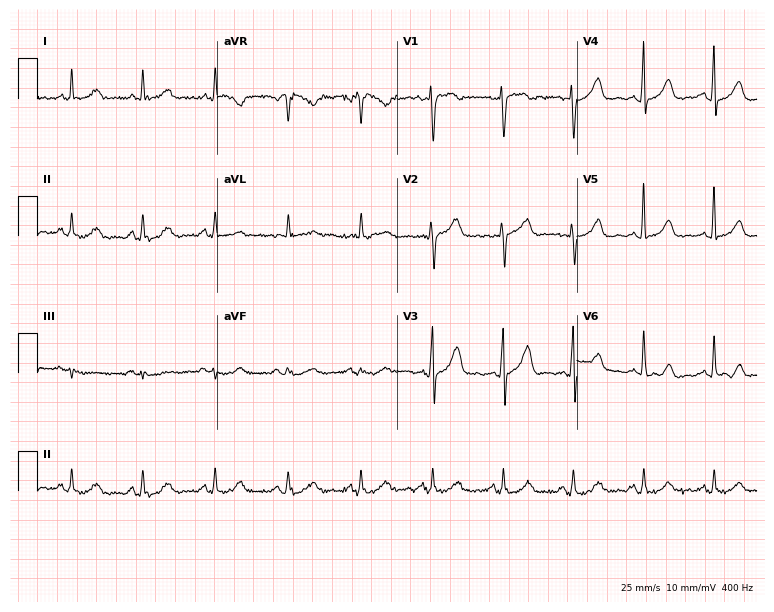
12-lead ECG from a female patient, 75 years old (7.3-second recording at 400 Hz). Recorded interpretation: within normal limits.